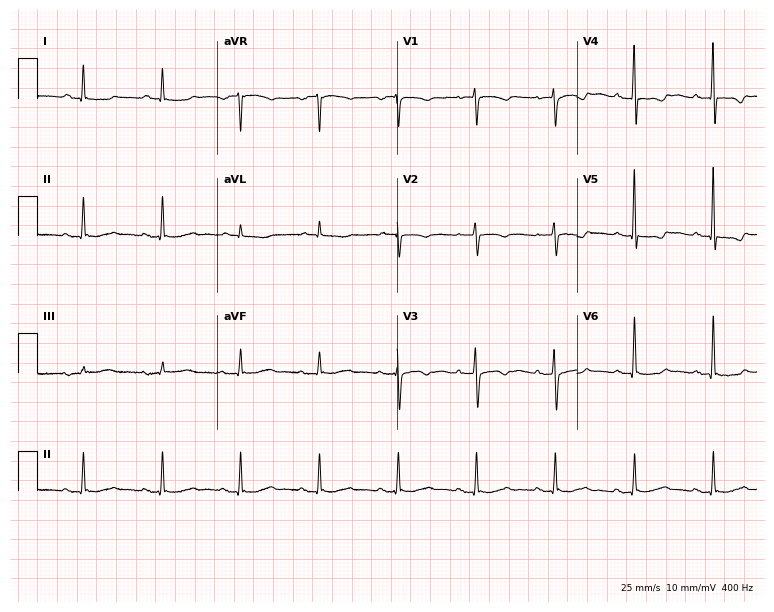
Resting 12-lead electrocardiogram (7.3-second recording at 400 Hz). Patient: a 68-year-old male. None of these six findings is recorded: first-degree AV block, right bundle branch block, left bundle branch block, sinus bradycardia, atrial fibrillation, sinus tachycardia. Other findings, if any, are not listed.